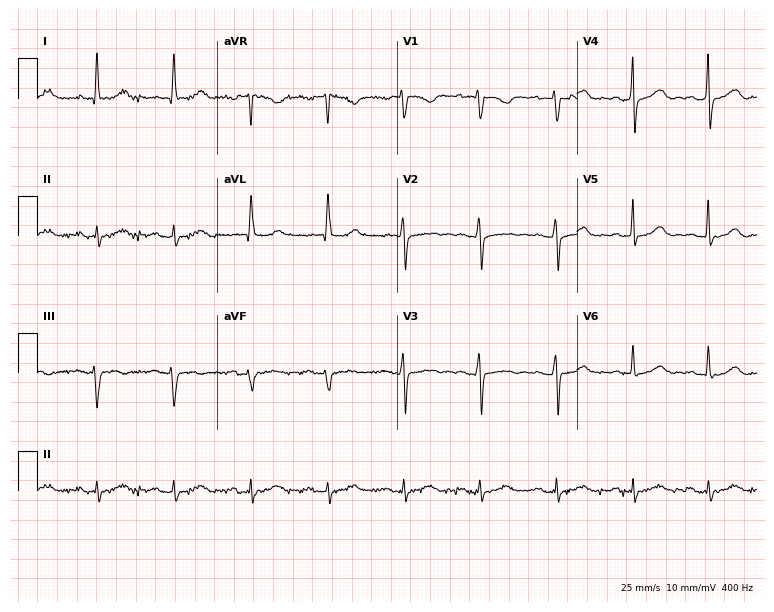
12-lead ECG from a female, 73 years old. No first-degree AV block, right bundle branch block, left bundle branch block, sinus bradycardia, atrial fibrillation or sinus tachycardia recorded for this tracing. Findings outside these six are not listed.